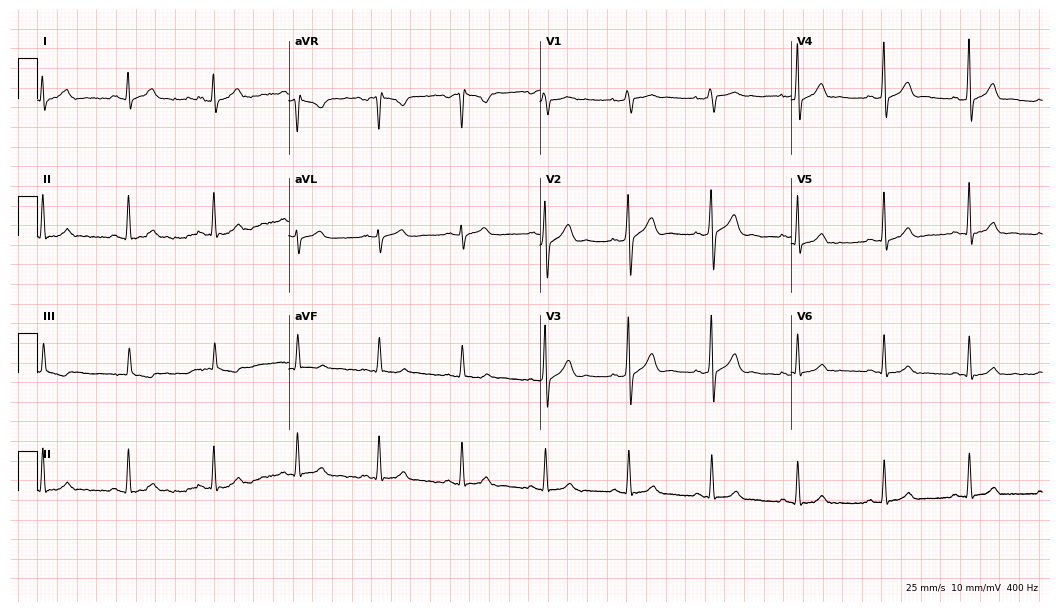
Standard 12-lead ECG recorded from a man, 41 years old (10.2-second recording at 400 Hz). Read as a normal ECG.